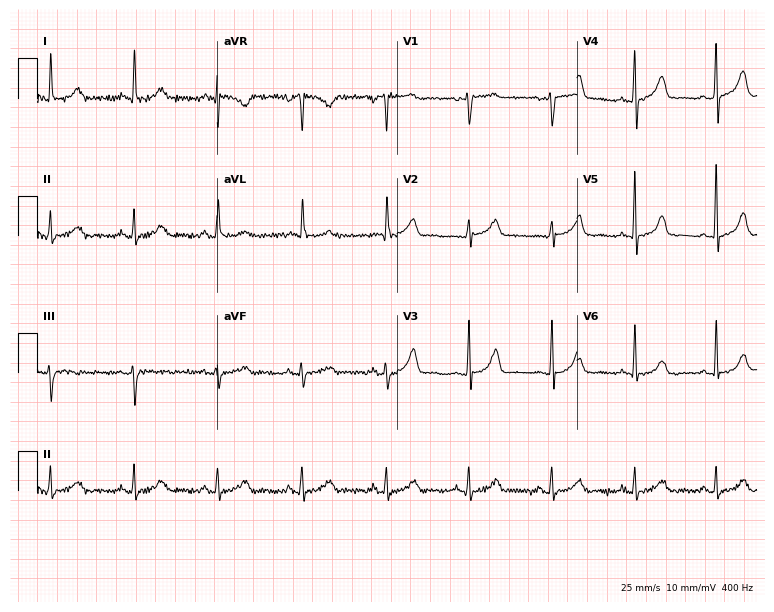
Resting 12-lead electrocardiogram. Patient: a female, 61 years old. None of these six findings is recorded: first-degree AV block, right bundle branch block, left bundle branch block, sinus bradycardia, atrial fibrillation, sinus tachycardia.